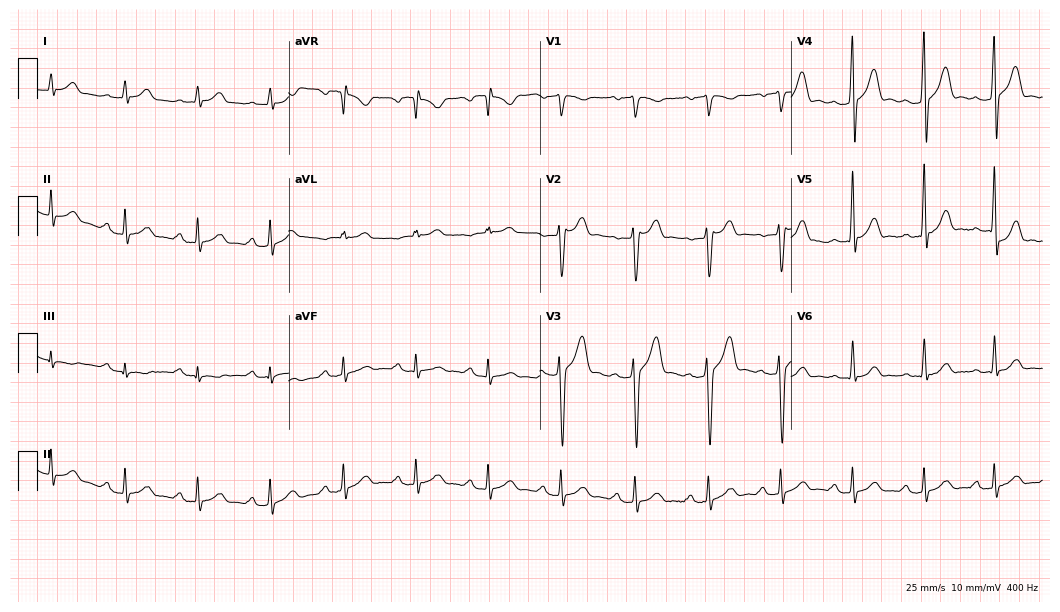
Electrocardiogram, a 60-year-old male. Interpretation includes first-degree AV block.